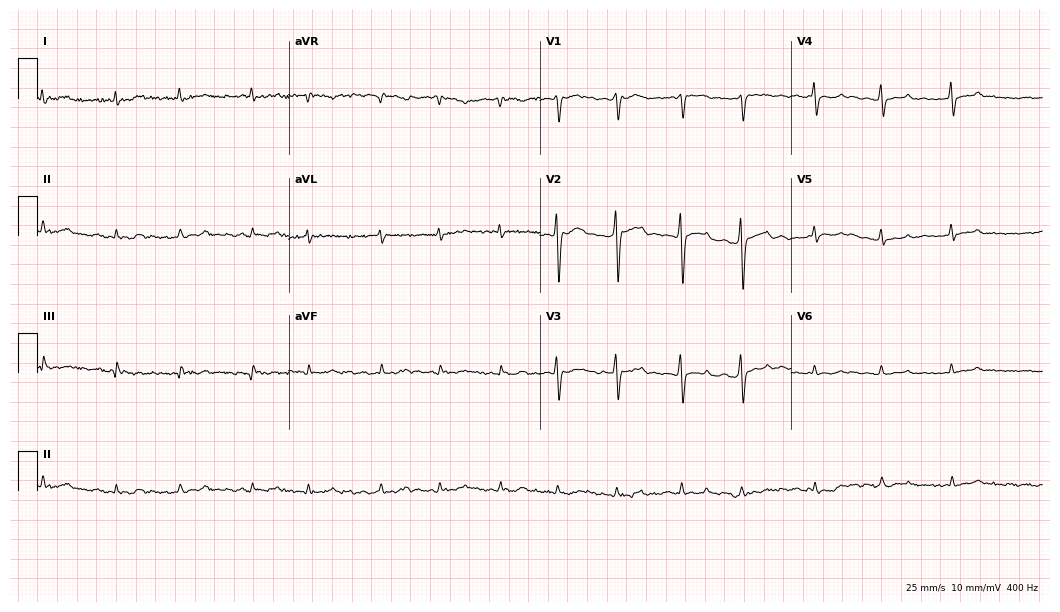
Resting 12-lead electrocardiogram (10.2-second recording at 400 Hz). Patient: a 68-year-old male. None of these six findings is recorded: first-degree AV block, right bundle branch block (RBBB), left bundle branch block (LBBB), sinus bradycardia, atrial fibrillation (AF), sinus tachycardia. Only these six findings were labelled.